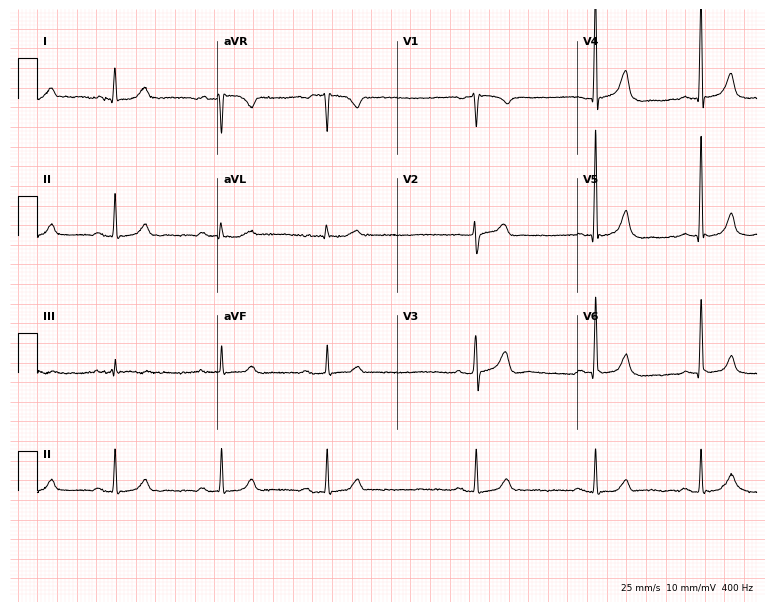
Standard 12-lead ECG recorded from a 70-year-old female. Read as a normal ECG.